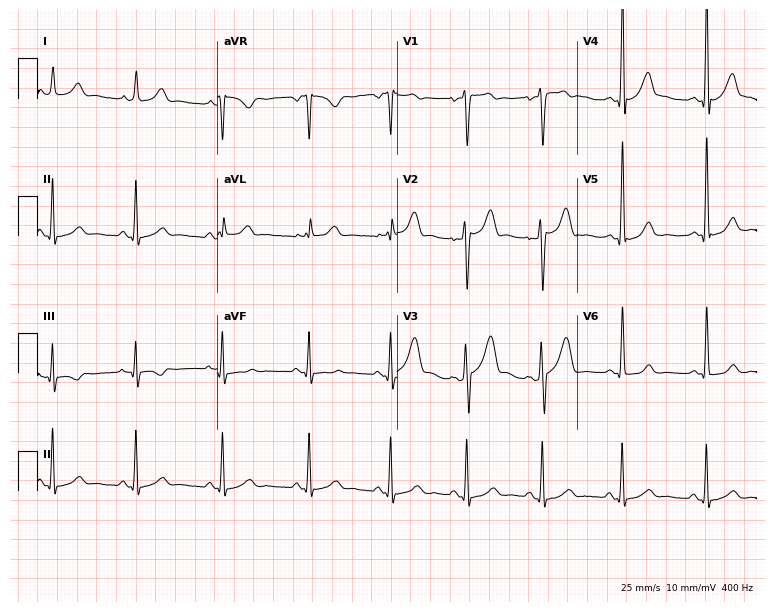
Standard 12-lead ECG recorded from a 26-year-old male (7.3-second recording at 400 Hz). None of these six findings is recorded: first-degree AV block, right bundle branch block, left bundle branch block, sinus bradycardia, atrial fibrillation, sinus tachycardia. Only these six findings were labelled.